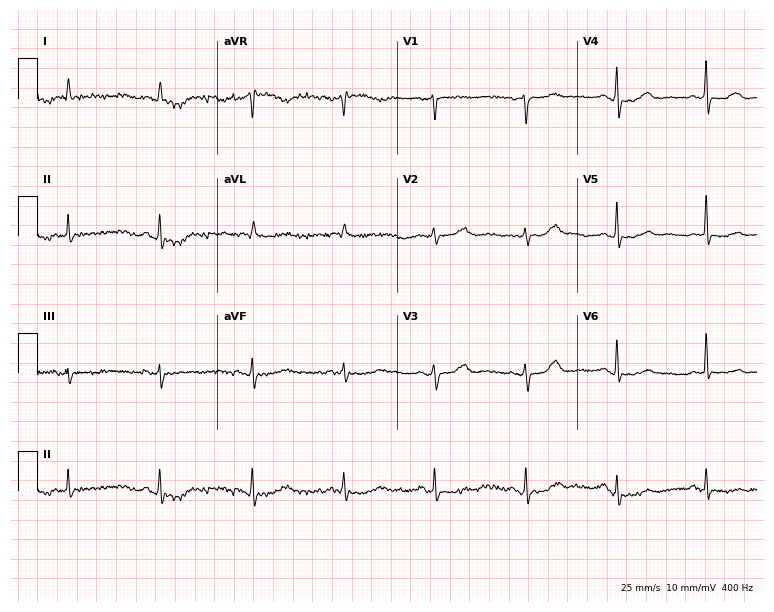
12-lead ECG from a female, 69 years old. Recorded interpretation: within normal limits.